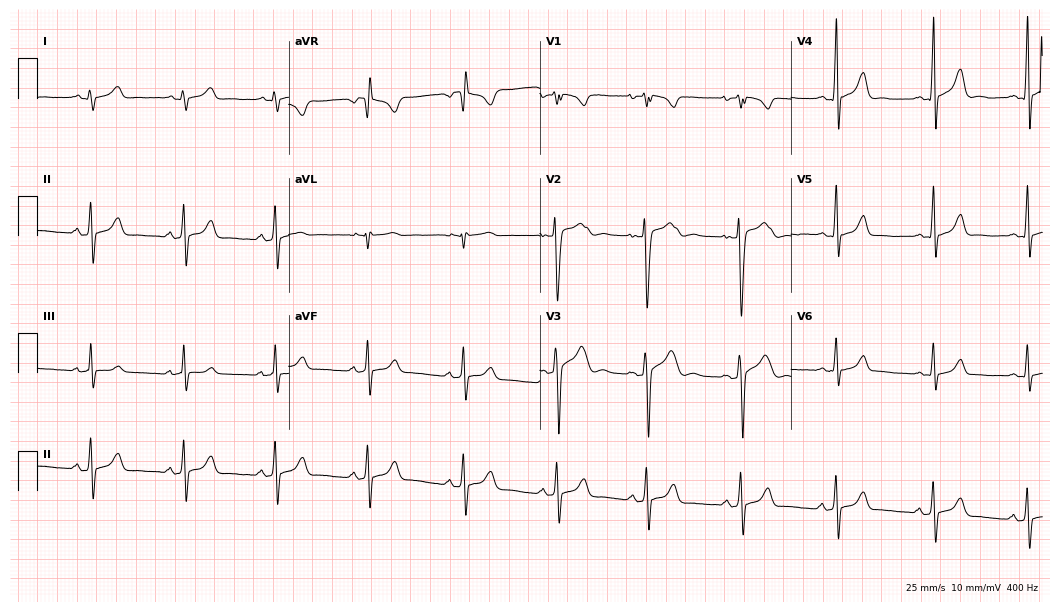
Resting 12-lead electrocardiogram. Patient: a 24-year-old male. Read as a normal ECG.